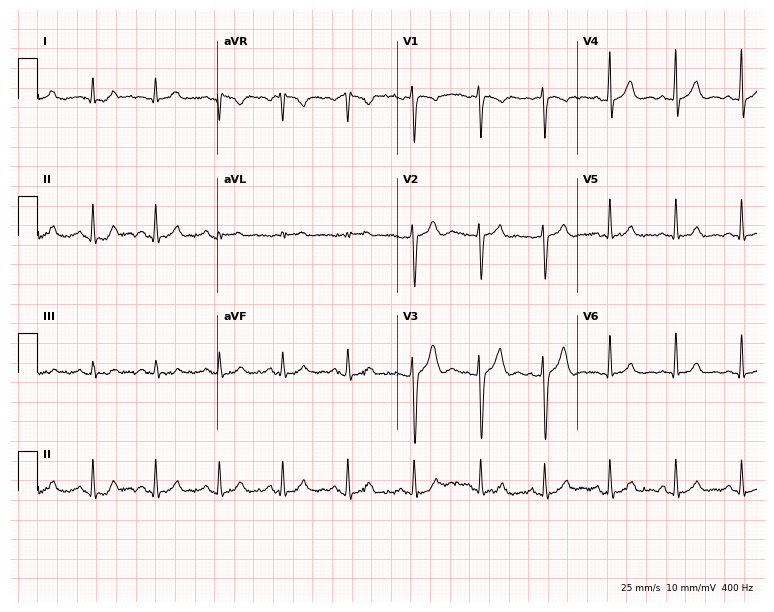
Standard 12-lead ECG recorded from a 26-year-old male patient (7.3-second recording at 400 Hz). None of these six findings is recorded: first-degree AV block, right bundle branch block, left bundle branch block, sinus bradycardia, atrial fibrillation, sinus tachycardia. Findings outside these six are not listed.